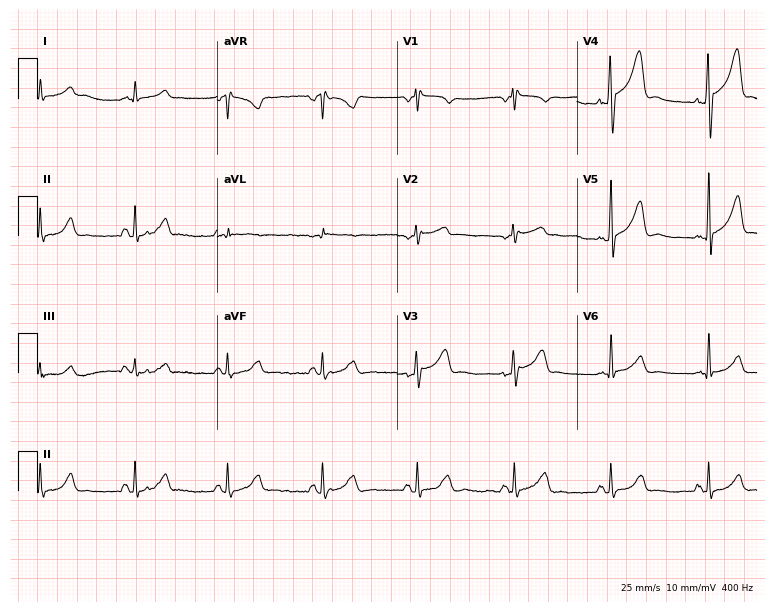
Standard 12-lead ECG recorded from a 74-year-old man (7.3-second recording at 400 Hz). Read as a normal ECG.